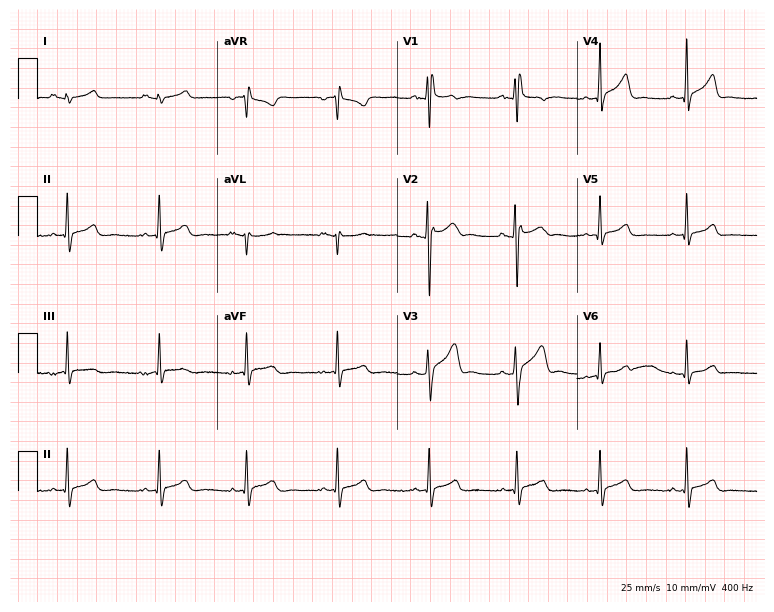
Resting 12-lead electrocardiogram. Patient: a 30-year-old male. None of these six findings is recorded: first-degree AV block, right bundle branch block, left bundle branch block, sinus bradycardia, atrial fibrillation, sinus tachycardia.